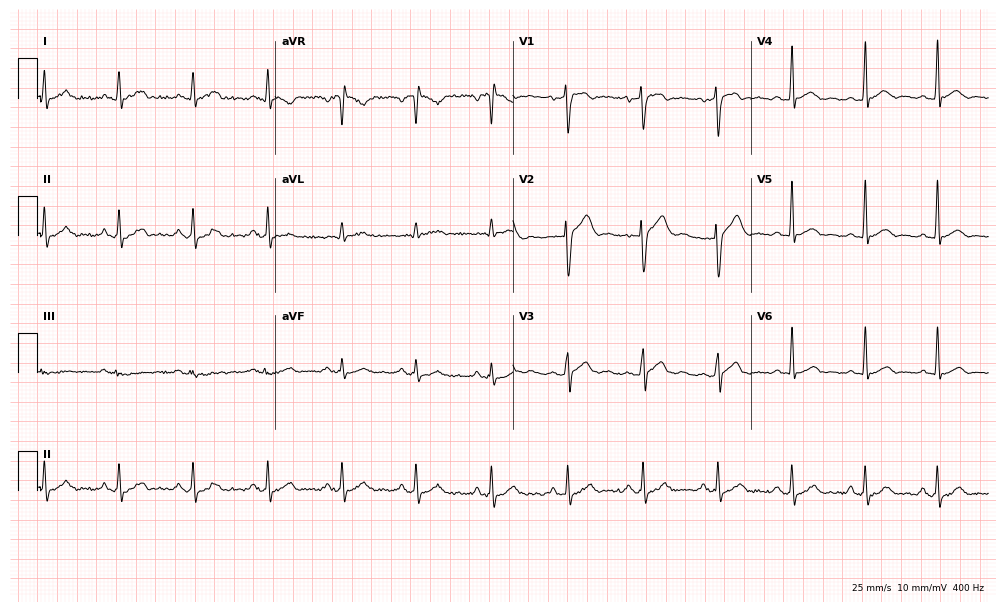
ECG — a male, 27 years old. Labelled as a normal ECG.